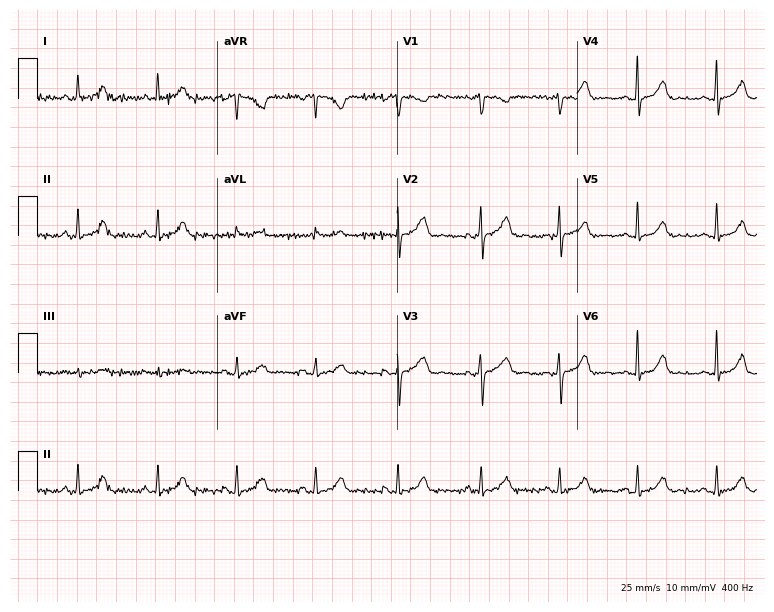
Electrocardiogram, a 41-year-old female patient. Overall reading on record: normal ECG.